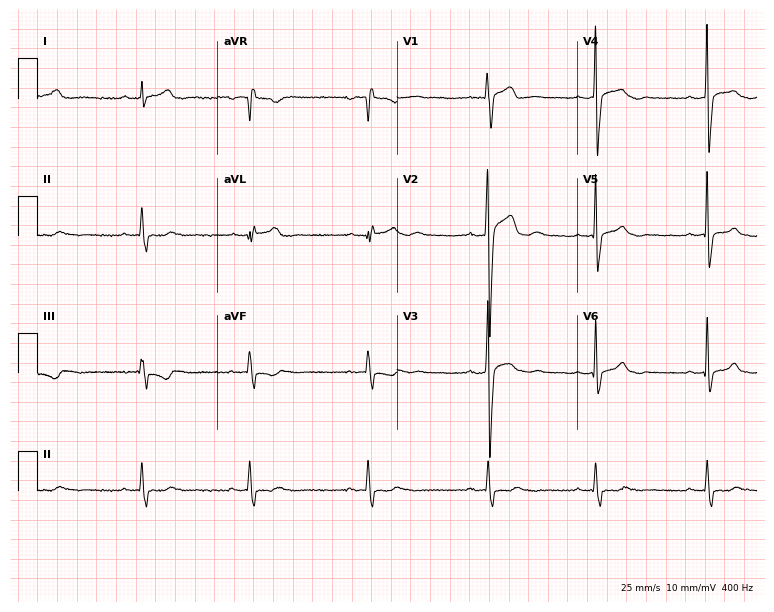
Resting 12-lead electrocardiogram (7.3-second recording at 400 Hz). Patient: a 27-year-old male. None of these six findings is recorded: first-degree AV block, right bundle branch block, left bundle branch block, sinus bradycardia, atrial fibrillation, sinus tachycardia. Other findings, if any, are not listed.